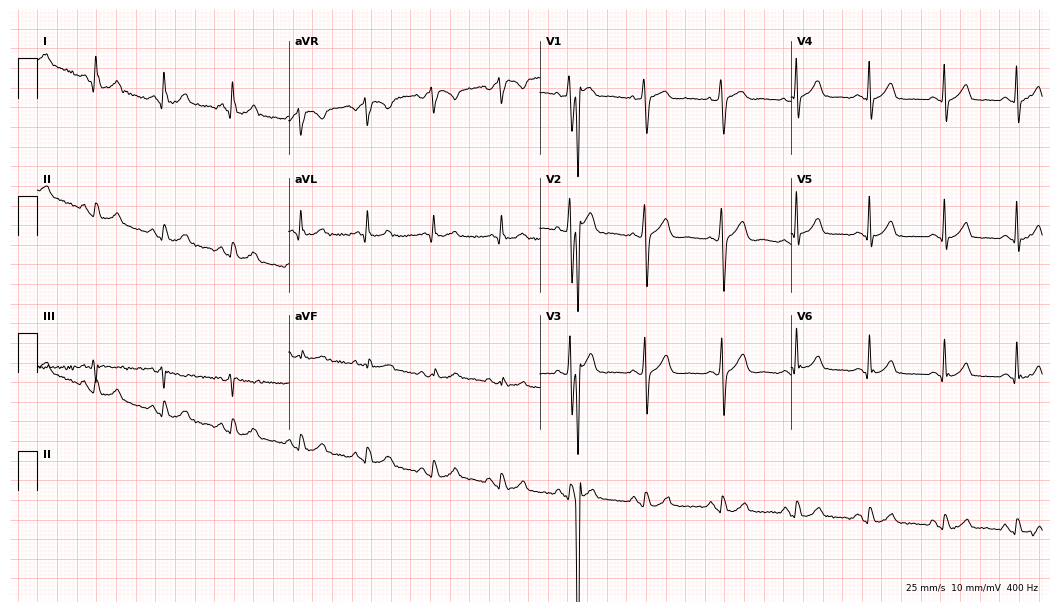
Standard 12-lead ECG recorded from a male, 51 years old. Read as a normal ECG.